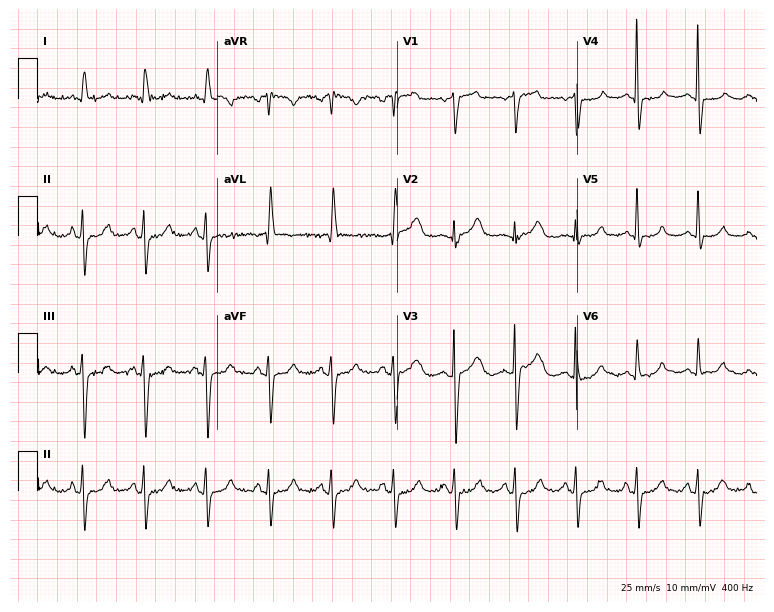
Resting 12-lead electrocardiogram (7.3-second recording at 400 Hz). Patient: a 66-year-old female. None of these six findings is recorded: first-degree AV block, right bundle branch block, left bundle branch block, sinus bradycardia, atrial fibrillation, sinus tachycardia. Only these six findings were labelled.